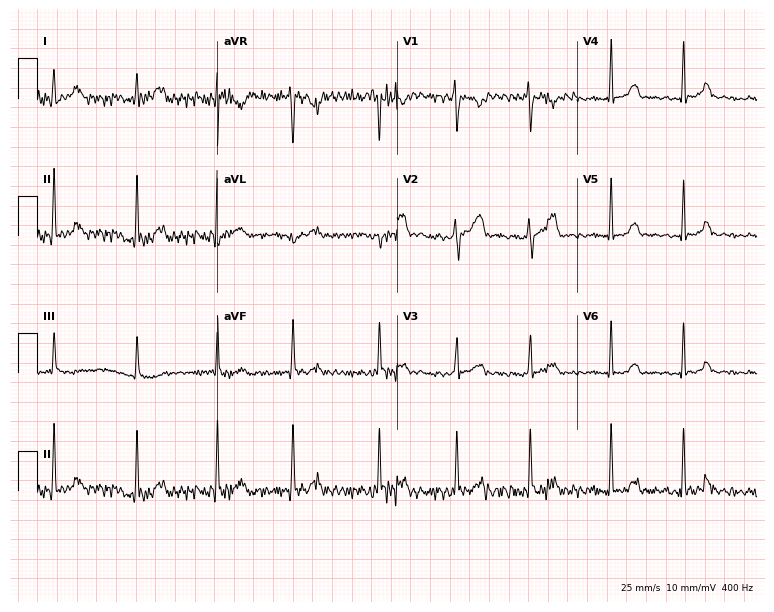
12-lead ECG from a 31-year-old woman (7.3-second recording at 400 Hz). No first-degree AV block, right bundle branch block, left bundle branch block, sinus bradycardia, atrial fibrillation or sinus tachycardia recorded for this tracing. Other findings, if any, are not listed.